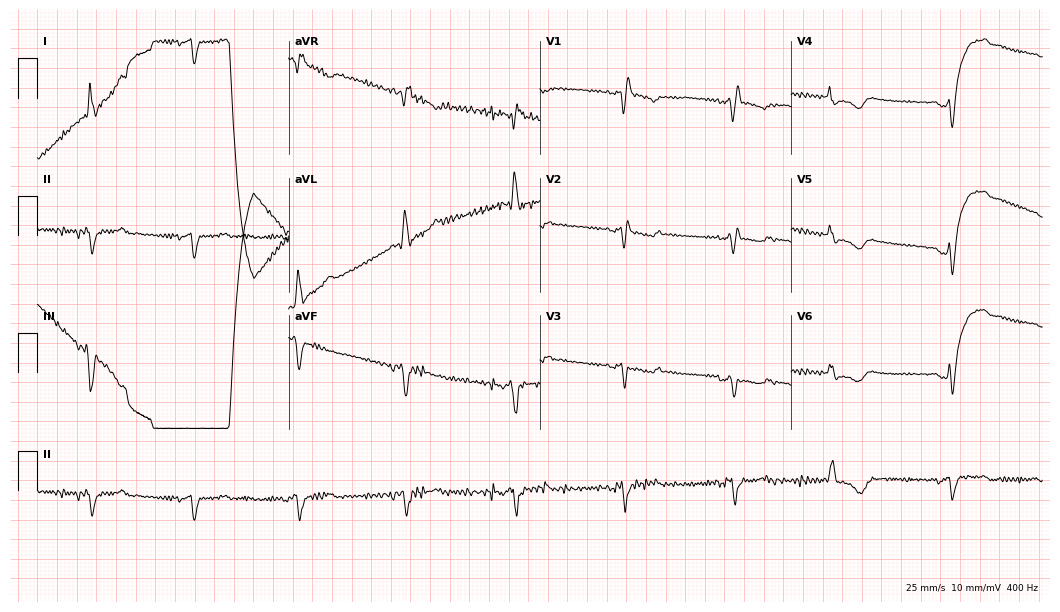
12-lead ECG from a female, 71 years old. No first-degree AV block, right bundle branch block (RBBB), left bundle branch block (LBBB), sinus bradycardia, atrial fibrillation (AF) or sinus tachycardia recorded for this tracing.